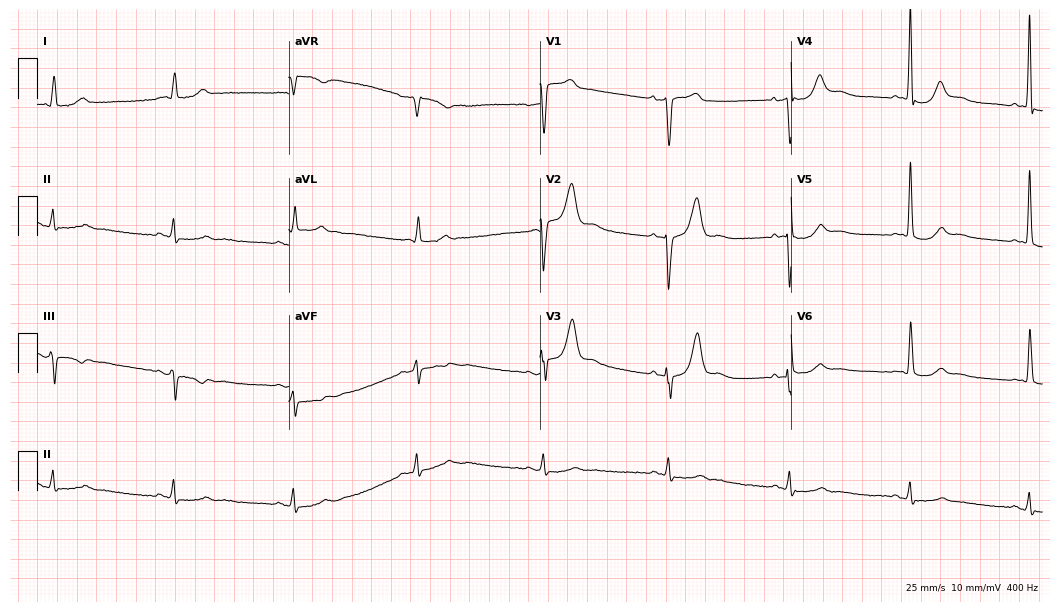
ECG (10.2-second recording at 400 Hz) — a 68-year-old male patient. Findings include sinus bradycardia (a sinus rate of 50 beats per minute or less).